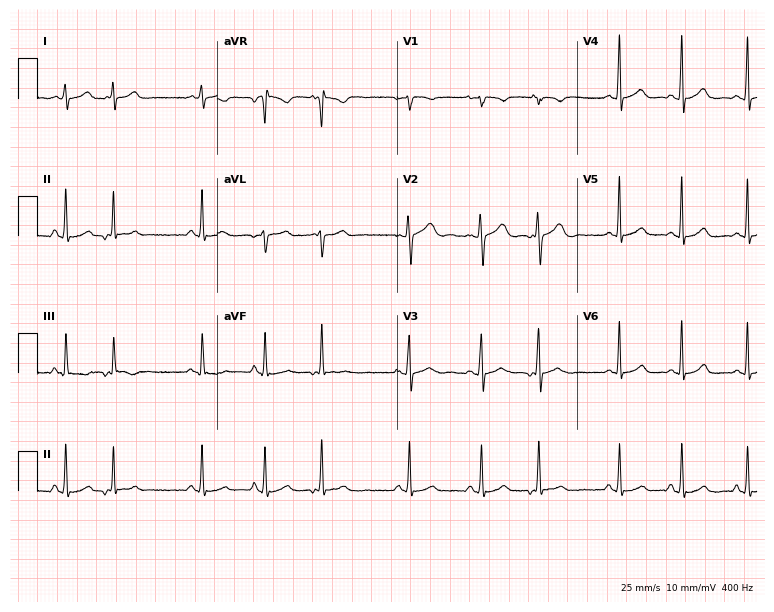
Resting 12-lead electrocardiogram. Patient: a female, 23 years old. None of these six findings is recorded: first-degree AV block, right bundle branch block, left bundle branch block, sinus bradycardia, atrial fibrillation, sinus tachycardia.